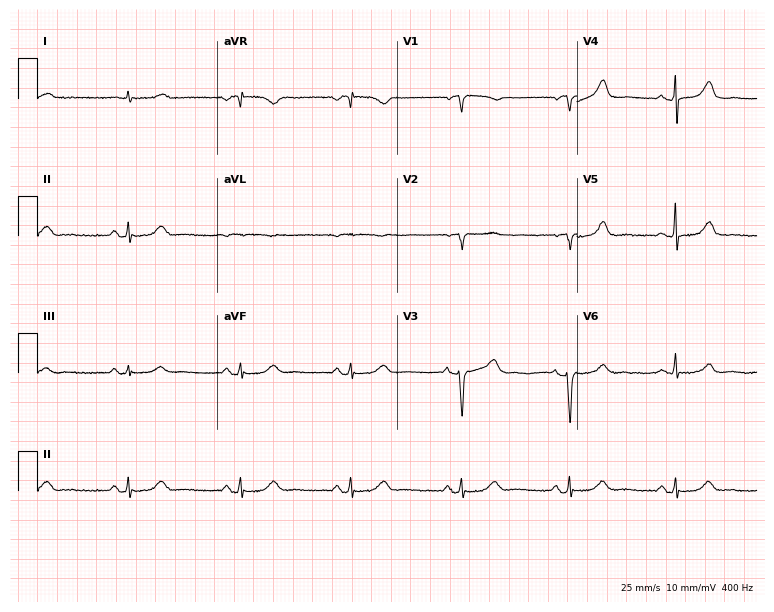
12-lead ECG (7.3-second recording at 400 Hz) from a woman, 81 years old. Screened for six findings — first-degree AV block, right bundle branch block, left bundle branch block, sinus bradycardia, atrial fibrillation, sinus tachycardia — none is recorded.